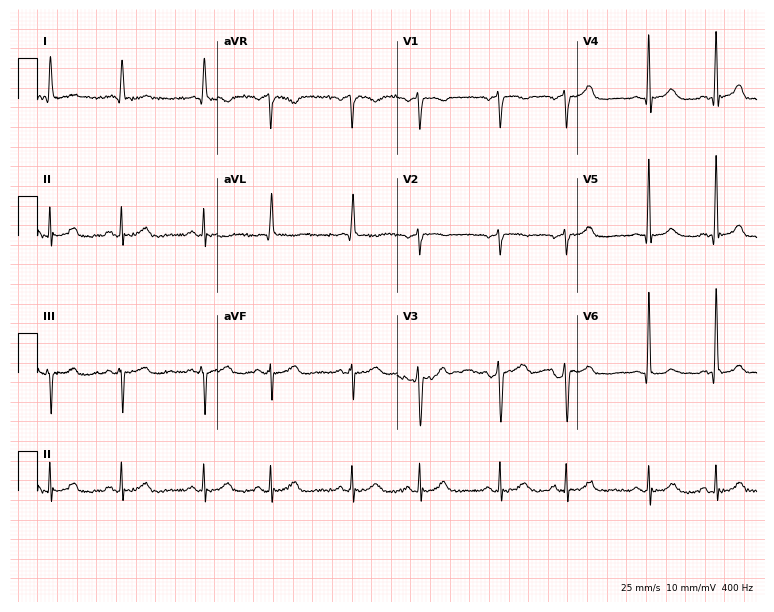
12-lead ECG (7.3-second recording at 400 Hz) from an 83-year-old woman. Screened for six findings — first-degree AV block, right bundle branch block, left bundle branch block, sinus bradycardia, atrial fibrillation, sinus tachycardia — none is recorded.